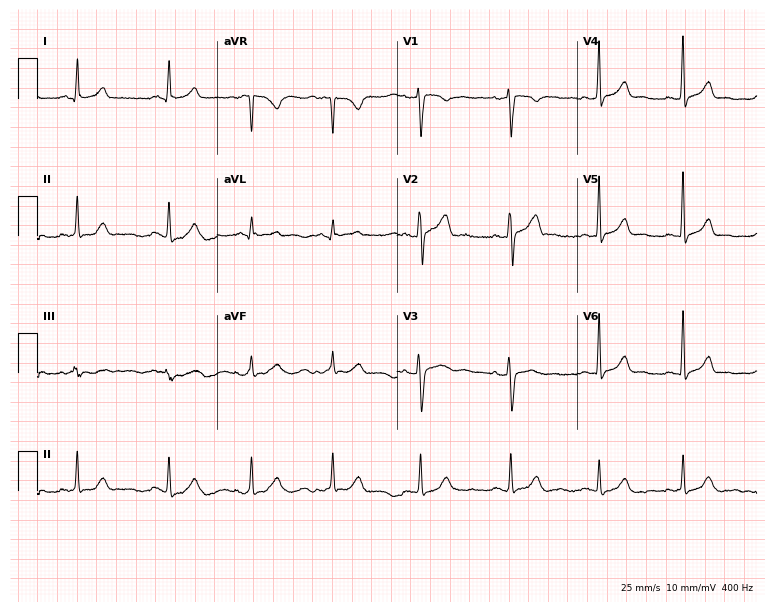
12-lead ECG from a 30-year-old female. Labelled as a normal ECG.